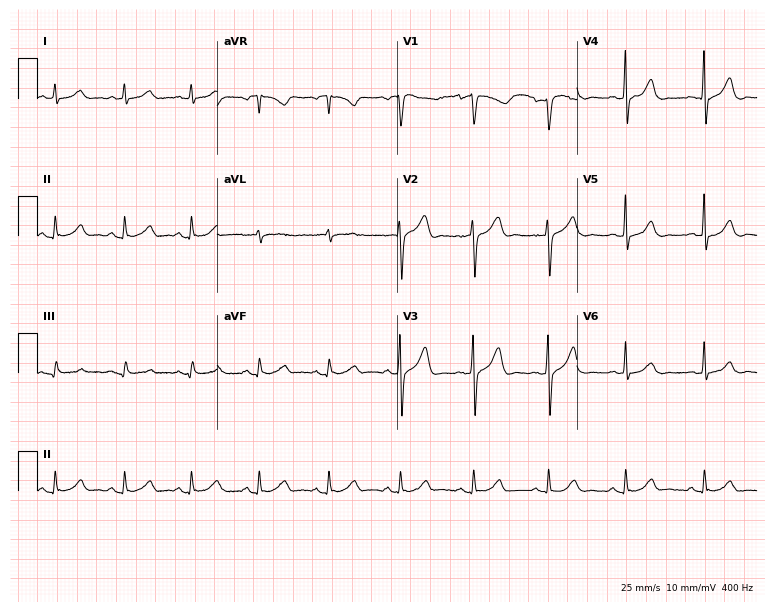
12-lead ECG (7.3-second recording at 400 Hz) from a 62-year-old man. Labelled as a normal ECG.